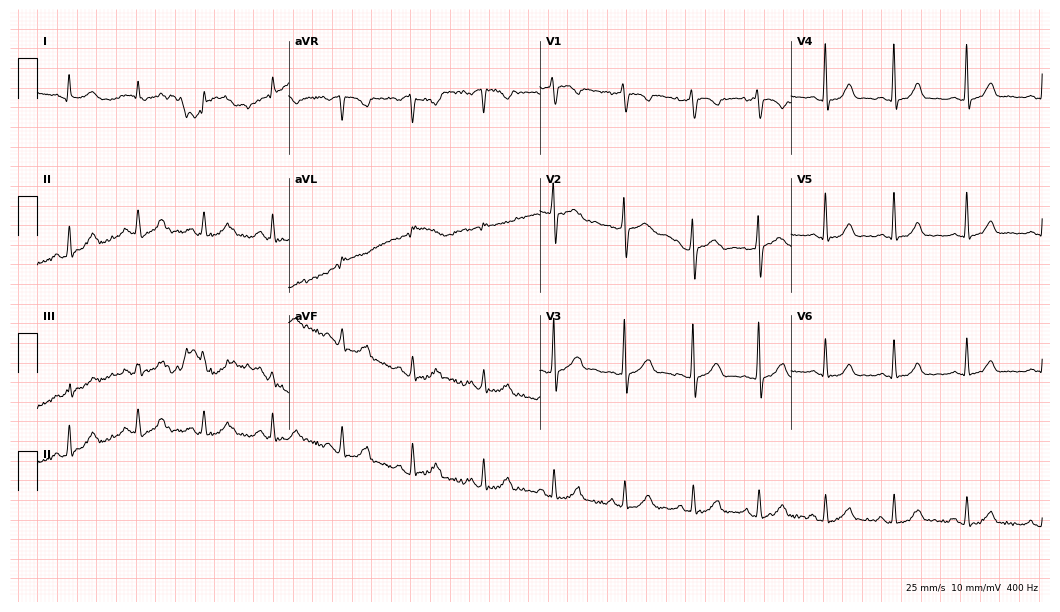
Standard 12-lead ECG recorded from a male patient, 42 years old (10.2-second recording at 400 Hz). None of these six findings is recorded: first-degree AV block, right bundle branch block, left bundle branch block, sinus bradycardia, atrial fibrillation, sinus tachycardia. Findings outside these six are not listed.